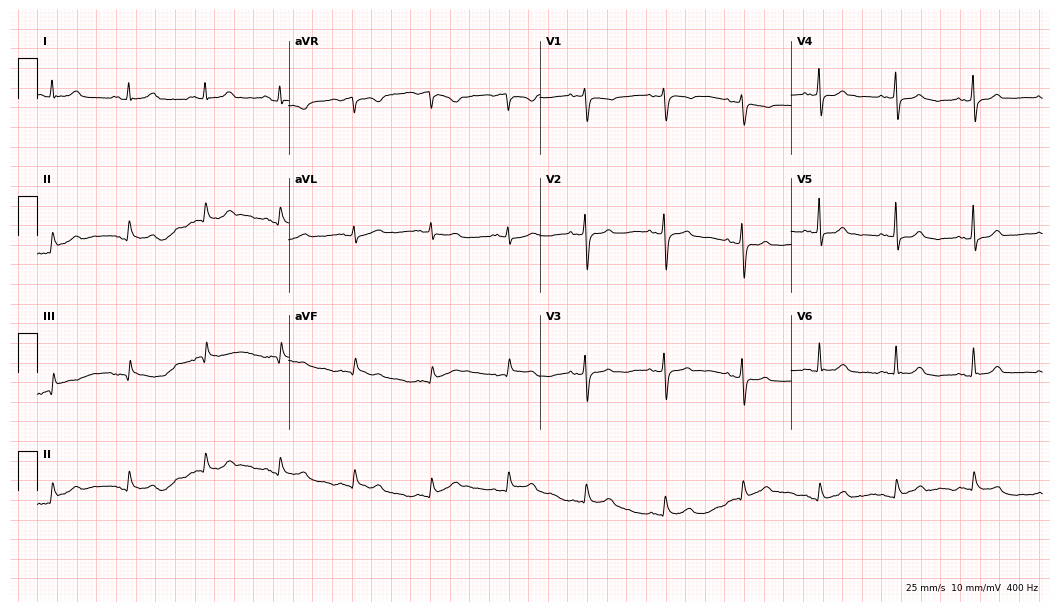
12-lead ECG from a woman, 60 years old. Labelled as a normal ECG.